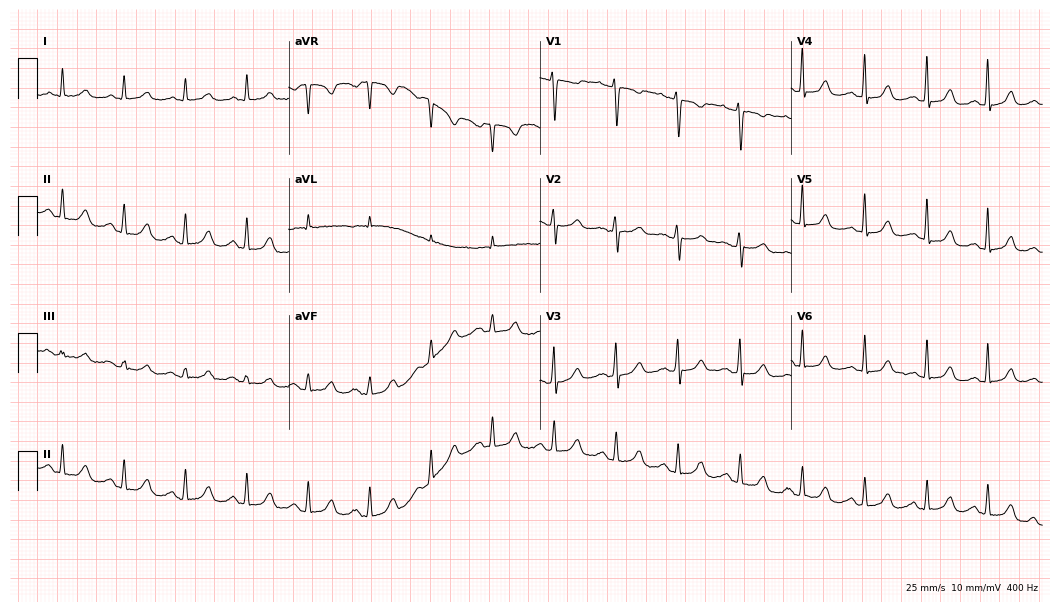
Resting 12-lead electrocardiogram (10.2-second recording at 400 Hz). Patient: a 64-year-old female. Read as a normal ECG.